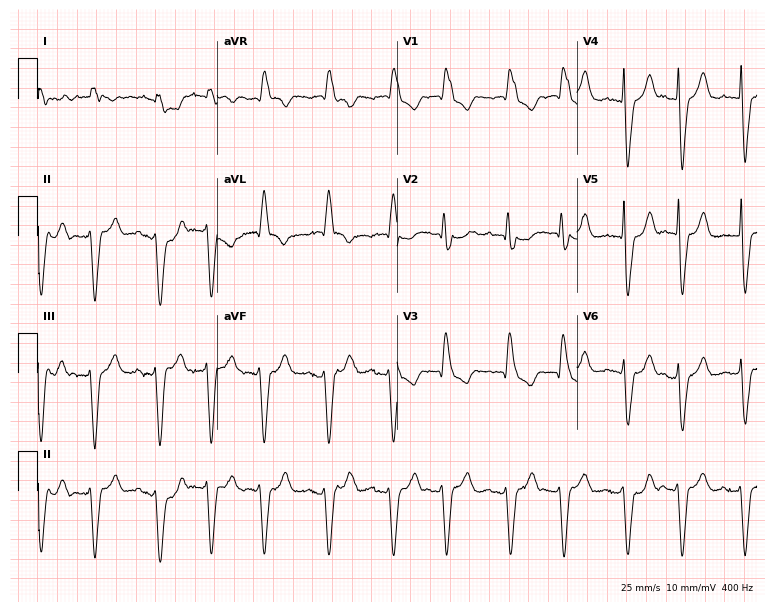
12-lead ECG (7.3-second recording at 400 Hz) from a male patient, 82 years old. Findings include atrial fibrillation.